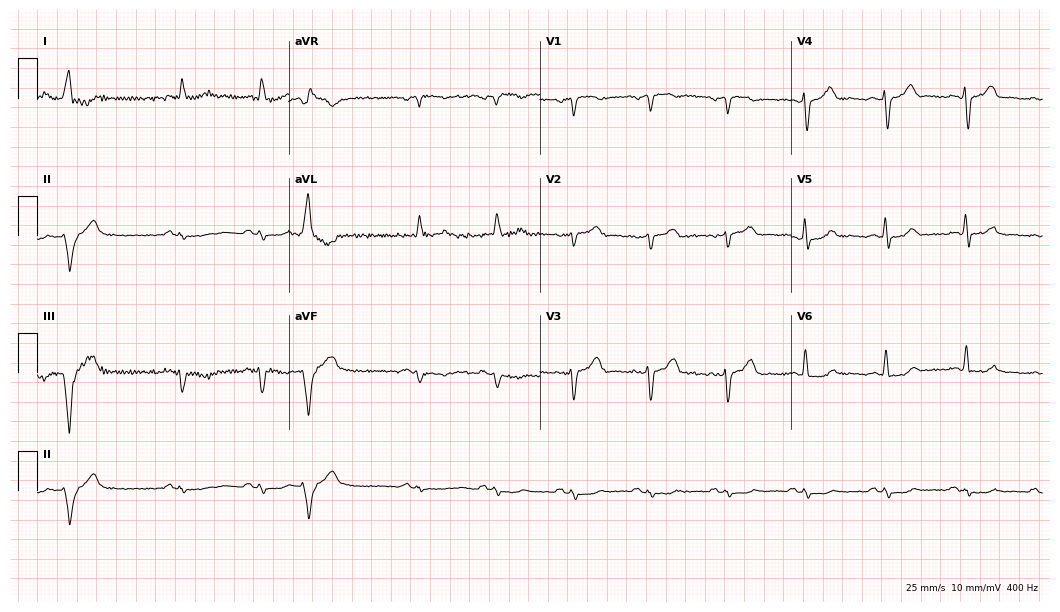
Electrocardiogram, an 80-year-old male. Of the six screened findings (first-degree AV block, right bundle branch block, left bundle branch block, sinus bradycardia, atrial fibrillation, sinus tachycardia), none is recorded. Other findings, if any, are not listed.